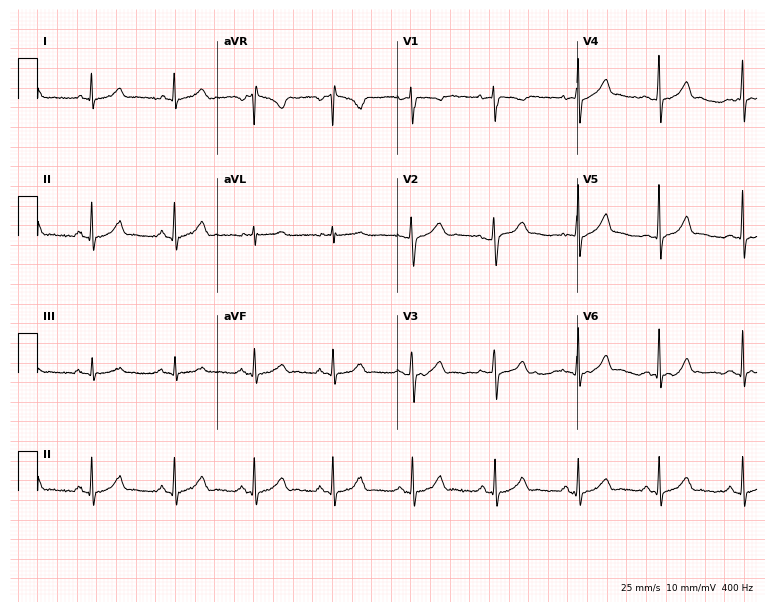
Standard 12-lead ECG recorded from a 30-year-old female. Read as a normal ECG.